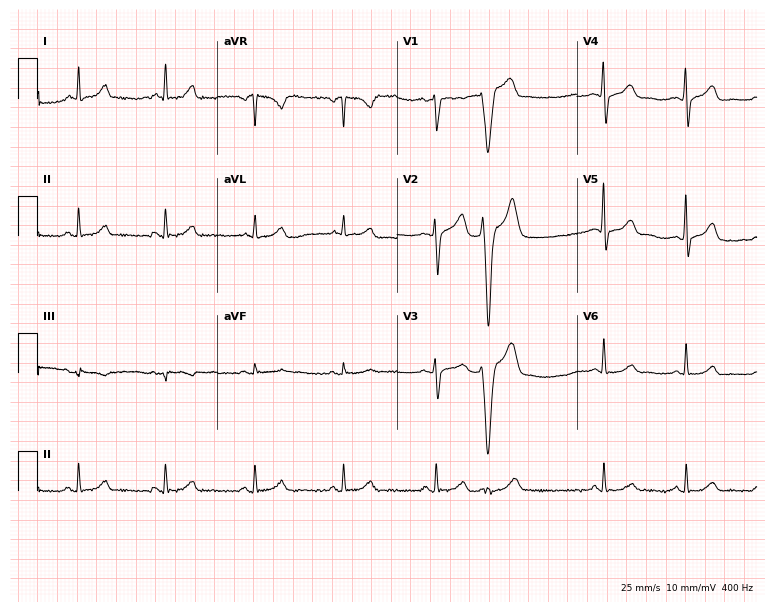
Electrocardiogram, a 57-year-old female. Overall reading on record: normal ECG.